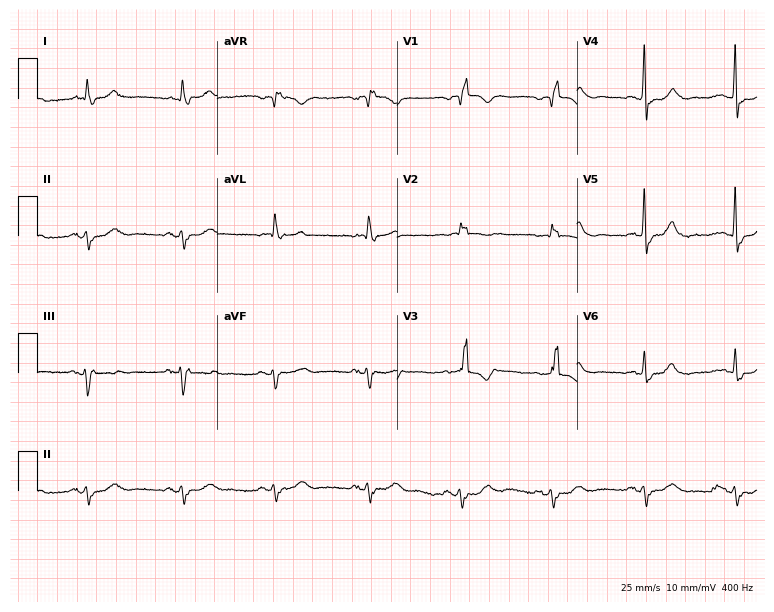
ECG (7.3-second recording at 400 Hz) — a woman, 84 years old. Findings include right bundle branch block (RBBB).